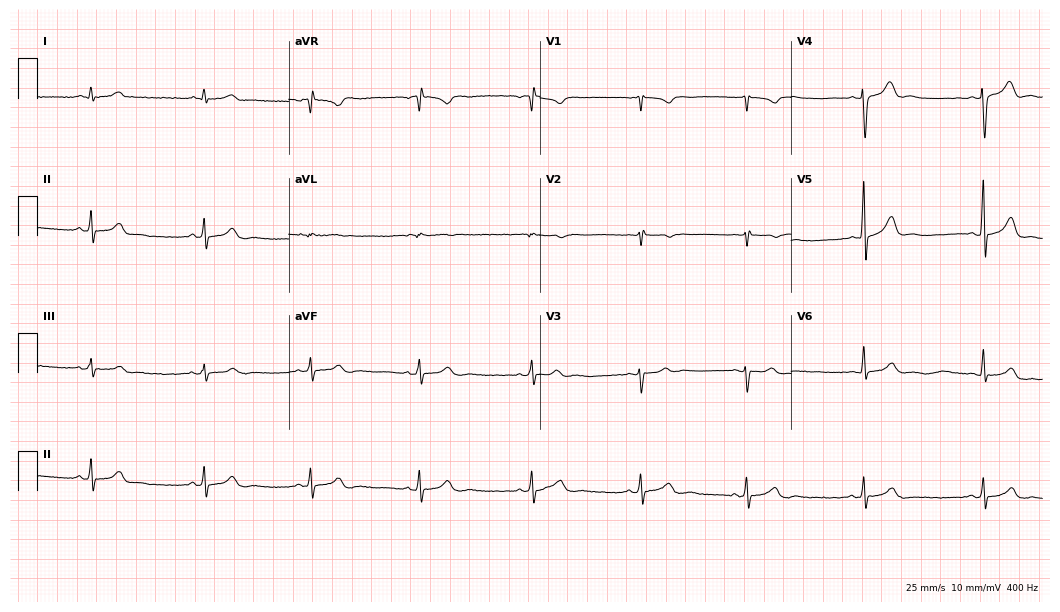
Standard 12-lead ECG recorded from a 28-year-old male patient. Read as a normal ECG.